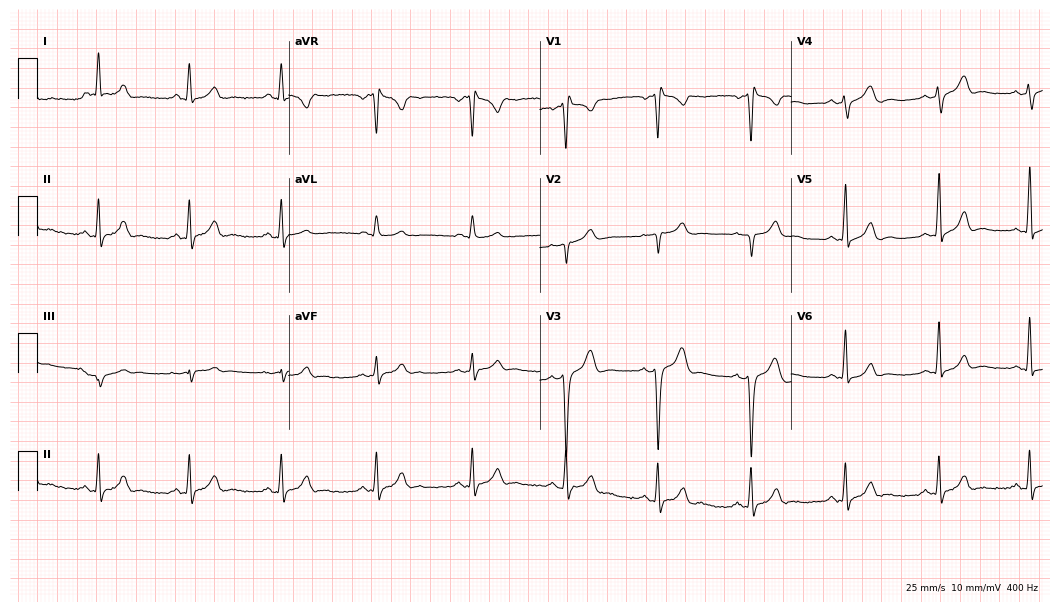
ECG — a man, 43 years old. Screened for six findings — first-degree AV block, right bundle branch block, left bundle branch block, sinus bradycardia, atrial fibrillation, sinus tachycardia — none is recorded. Only these six findings were labelled.